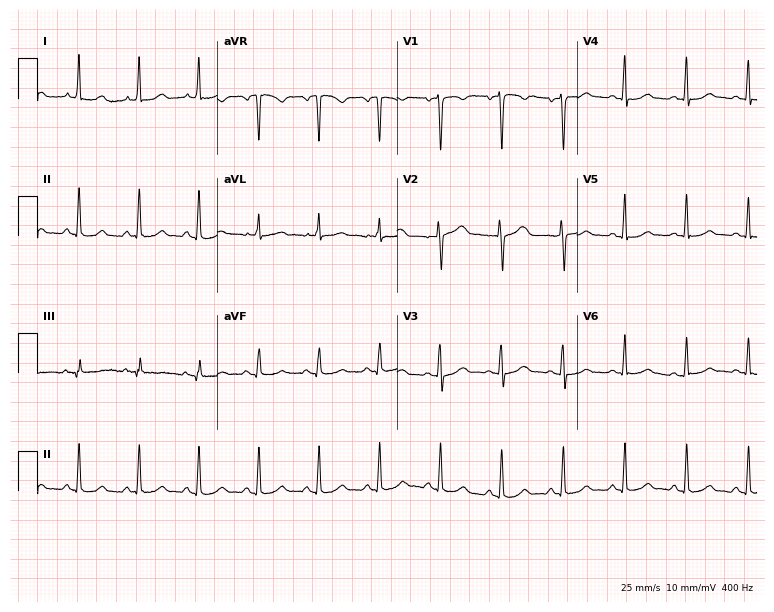
12-lead ECG from a 40-year-old female patient. Recorded interpretation: within normal limits.